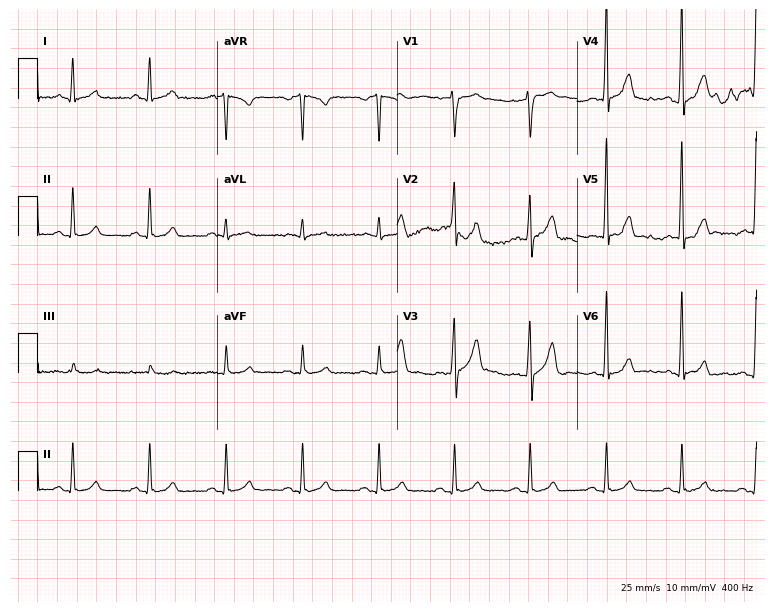
12-lead ECG from a 43-year-old male. Recorded interpretation: within normal limits.